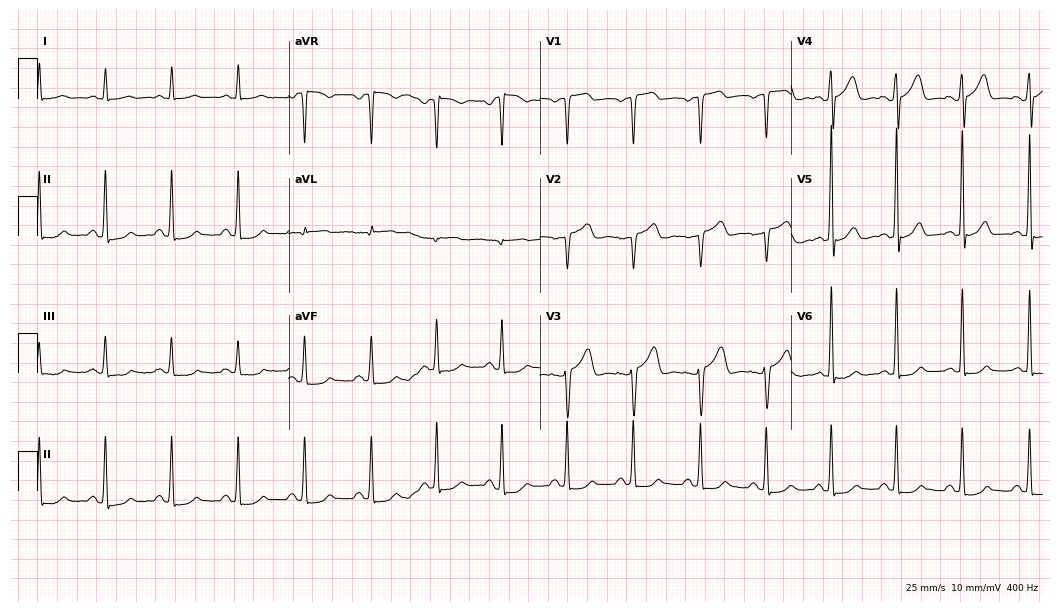
Standard 12-lead ECG recorded from a 52-year-old woman. Read as a normal ECG.